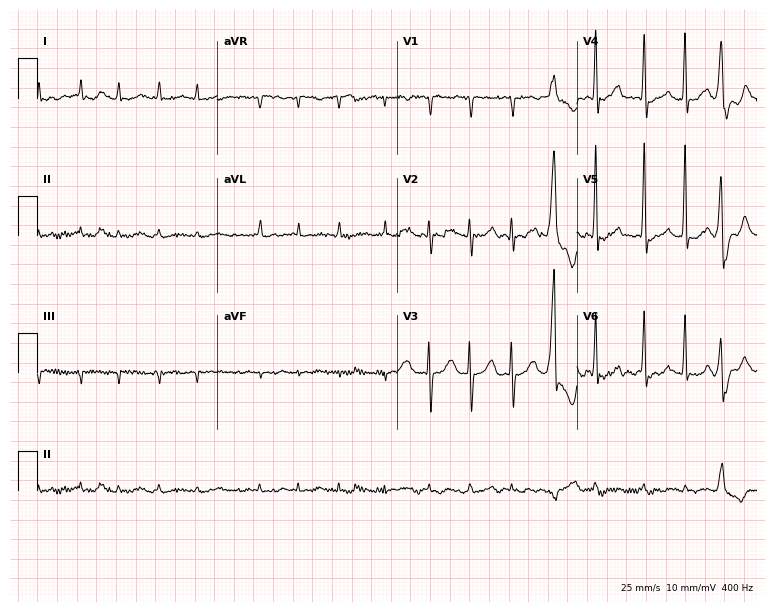
12-lead ECG from an 82-year-old male (7.3-second recording at 400 Hz). Shows atrial fibrillation.